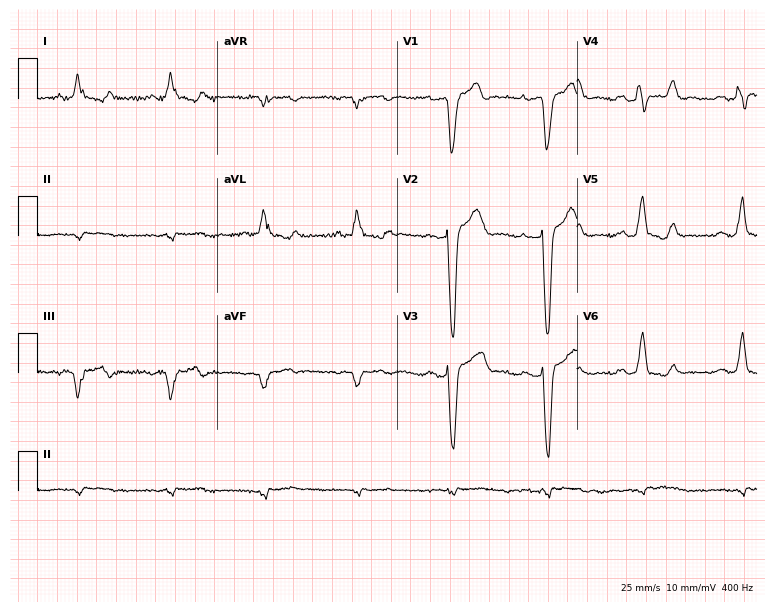
12-lead ECG (7.3-second recording at 400 Hz) from a 71-year-old male. Screened for six findings — first-degree AV block, right bundle branch block, left bundle branch block, sinus bradycardia, atrial fibrillation, sinus tachycardia — none is recorded. Only these six findings were labelled.